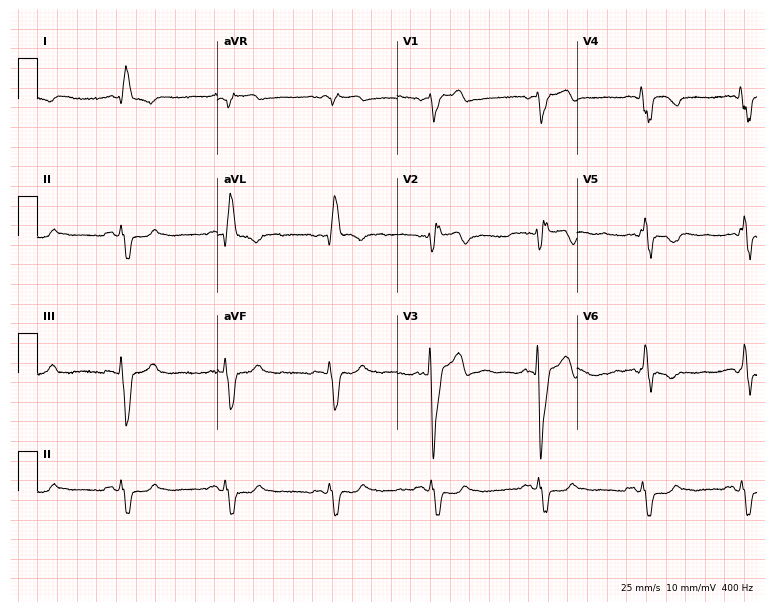
Resting 12-lead electrocardiogram (7.3-second recording at 400 Hz). Patient: a male, 61 years old. The tracing shows left bundle branch block.